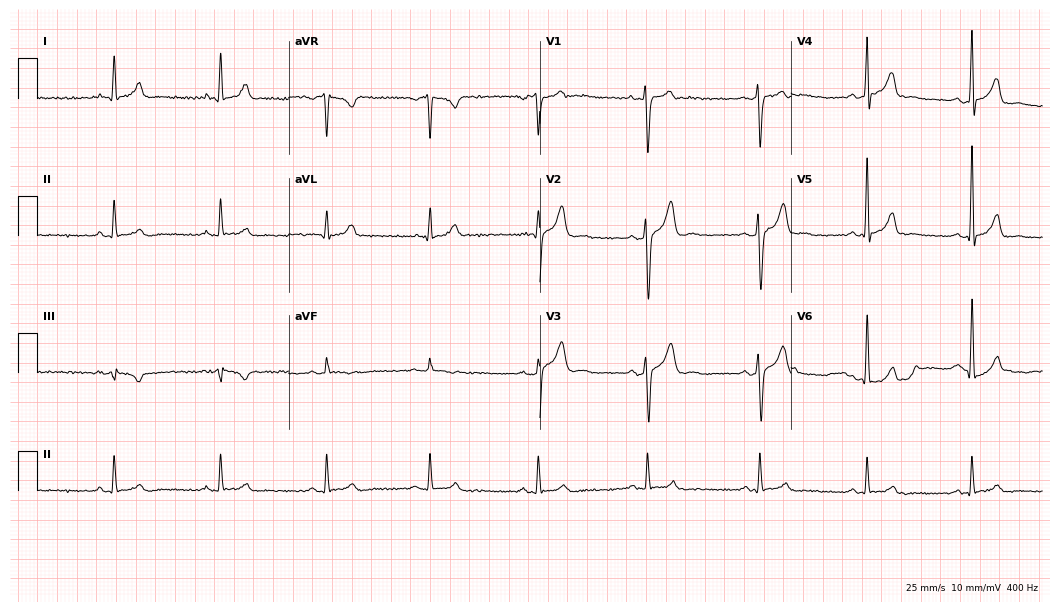
ECG (10.2-second recording at 400 Hz) — a male, 29 years old. Labelled as a normal ECG.